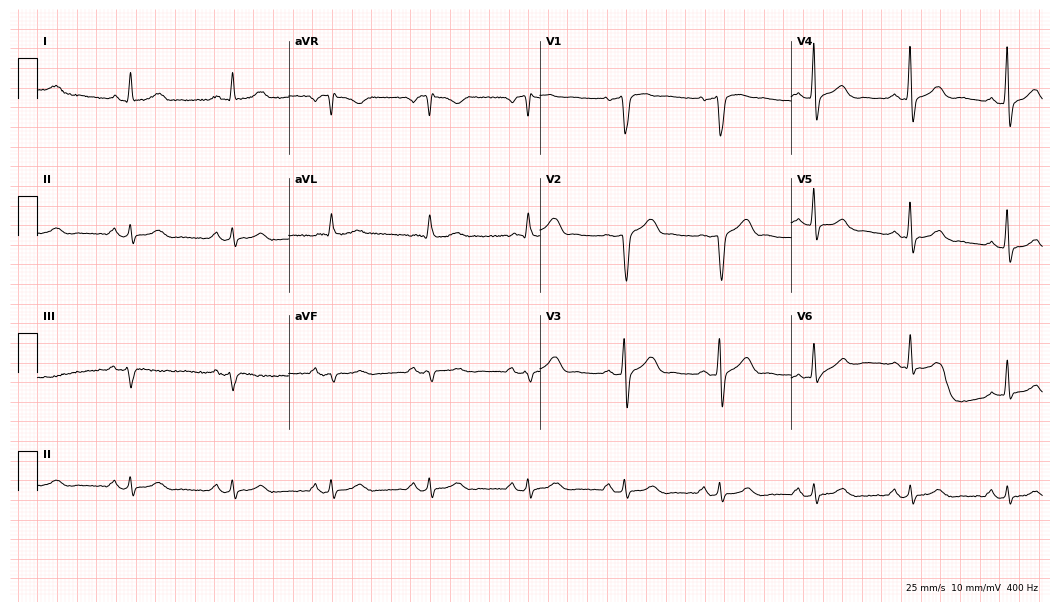
ECG (10.2-second recording at 400 Hz) — a 59-year-old male patient. Screened for six findings — first-degree AV block, right bundle branch block, left bundle branch block, sinus bradycardia, atrial fibrillation, sinus tachycardia — none is recorded. Other findings, if any, are not listed.